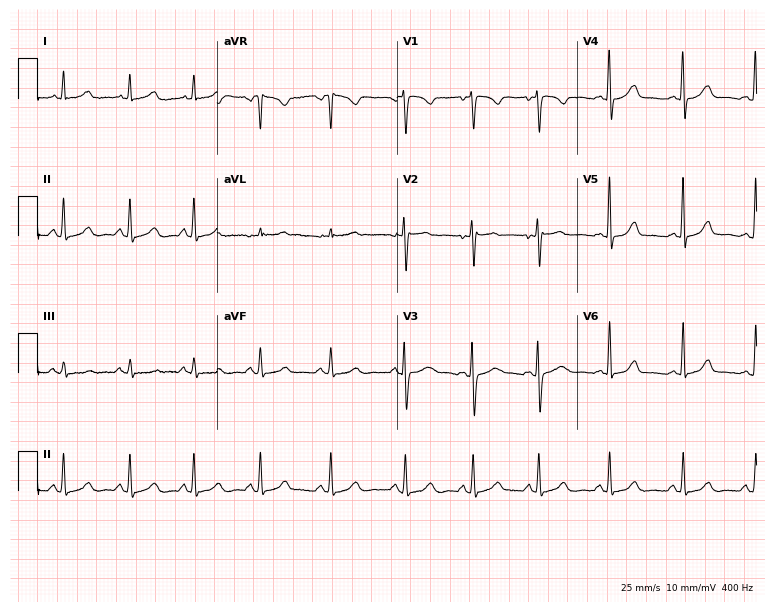
Electrocardiogram, a 31-year-old woman. Of the six screened findings (first-degree AV block, right bundle branch block, left bundle branch block, sinus bradycardia, atrial fibrillation, sinus tachycardia), none is recorded.